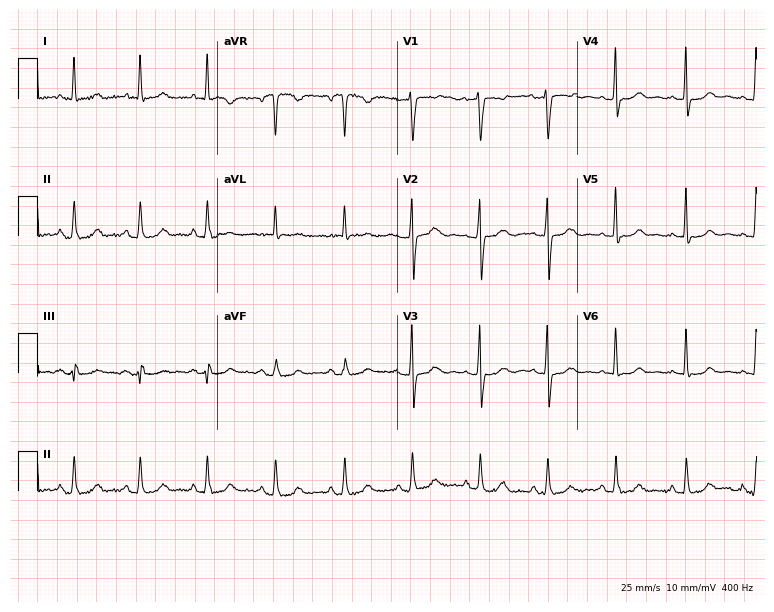
ECG (7.3-second recording at 400 Hz) — a 30-year-old woman. Labelled as a normal ECG.